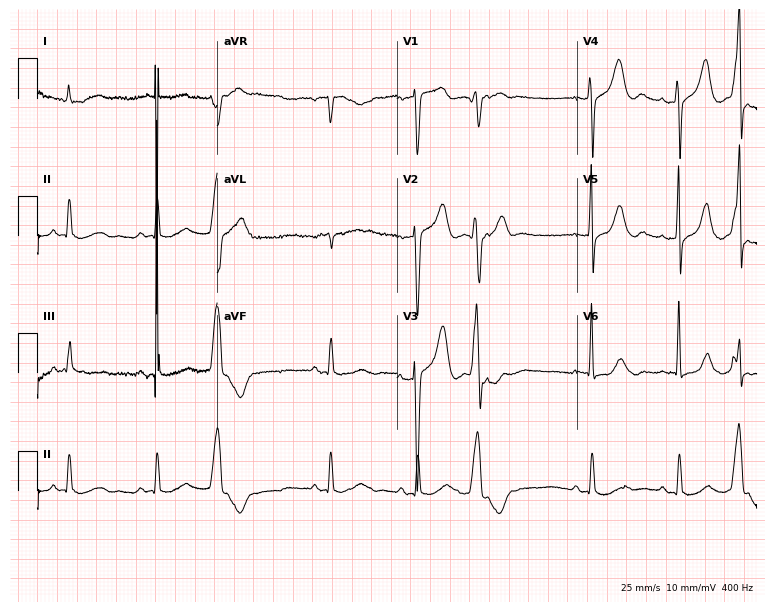
12-lead ECG from an 81-year-old male patient. No first-degree AV block, right bundle branch block (RBBB), left bundle branch block (LBBB), sinus bradycardia, atrial fibrillation (AF) or sinus tachycardia recorded for this tracing.